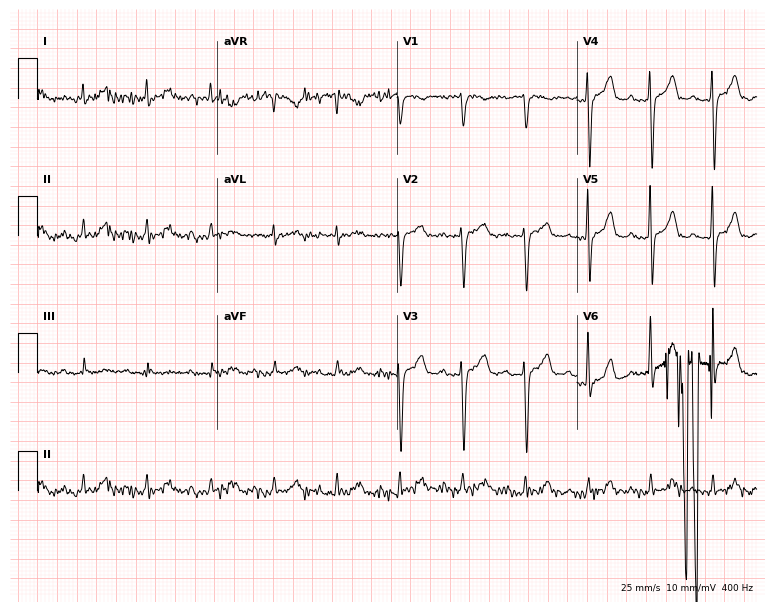
12-lead ECG from a man, 69 years old. Screened for six findings — first-degree AV block, right bundle branch block, left bundle branch block, sinus bradycardia, atrial fibrillation, sinus tachycardia — none is recorded.